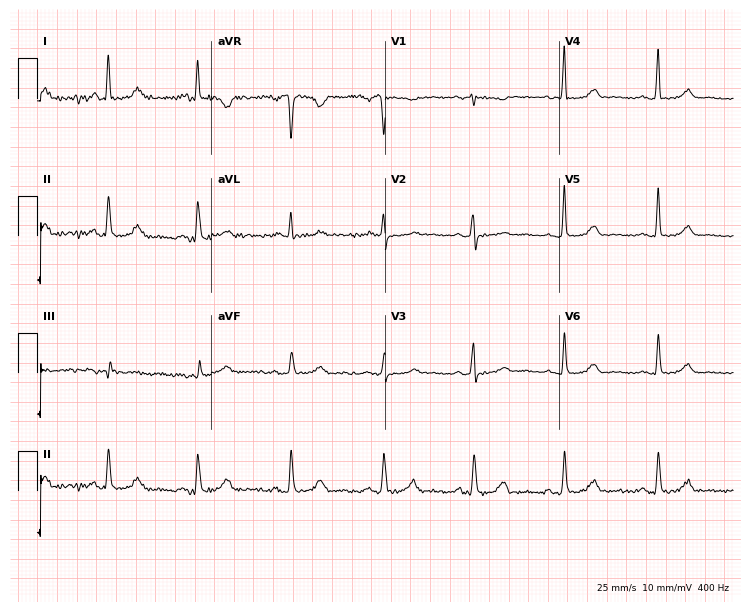
Resting 12-lead electrocardiogram (7.1-second recording at 400 Hz). Patient: a woman, 55 years old. Read as a normal ECG.